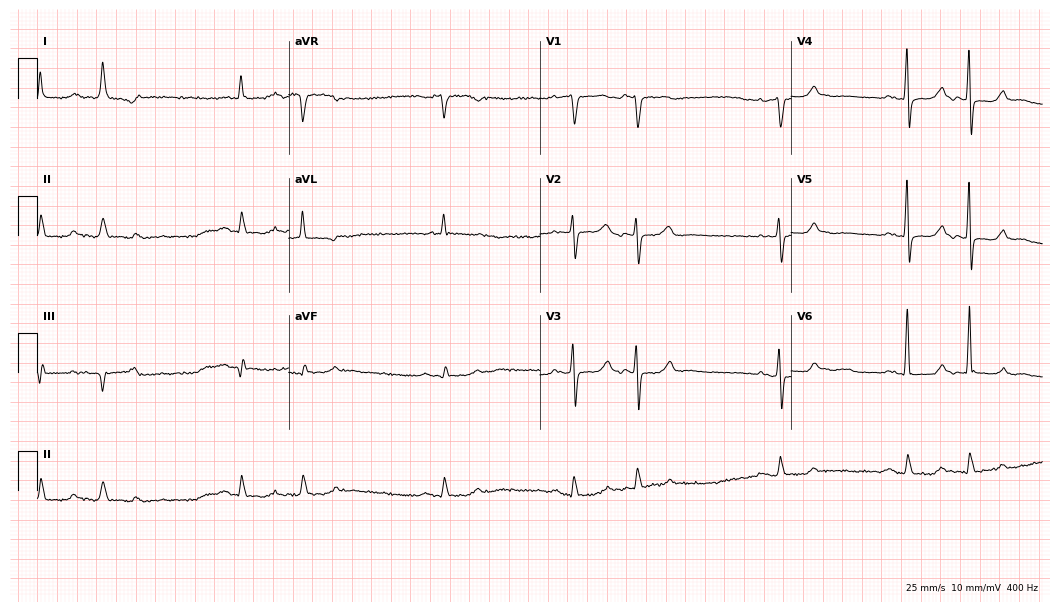
12-lead ECG from an 80-year-old male. Shows atrial fibrillation (AF).